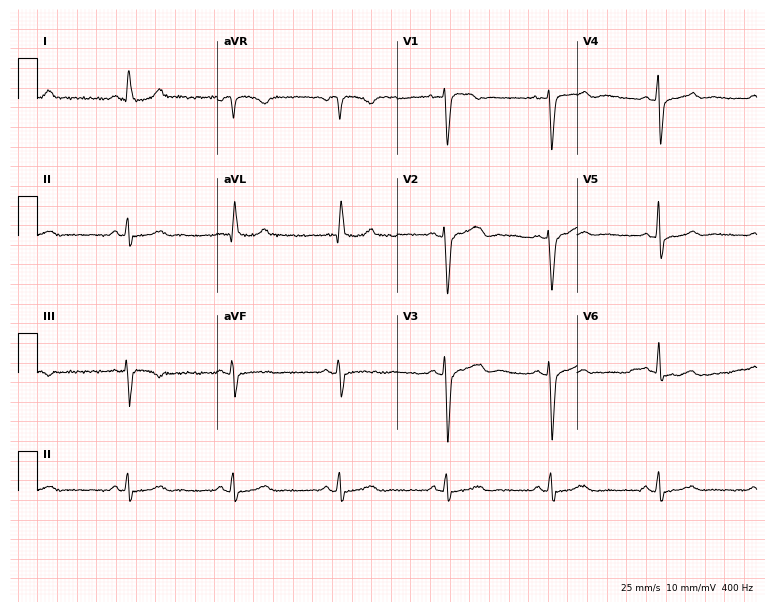
ECG (7.3-second recording at 400 Hz) — a male, 72 years old. Screened for six findings — first-degree AV block, right bundle branch block (RBBB), left bundle branch block (LBBB), sinus bradycardia, atrial fibrillation (AF), sinus tachycardia — none is recorded.